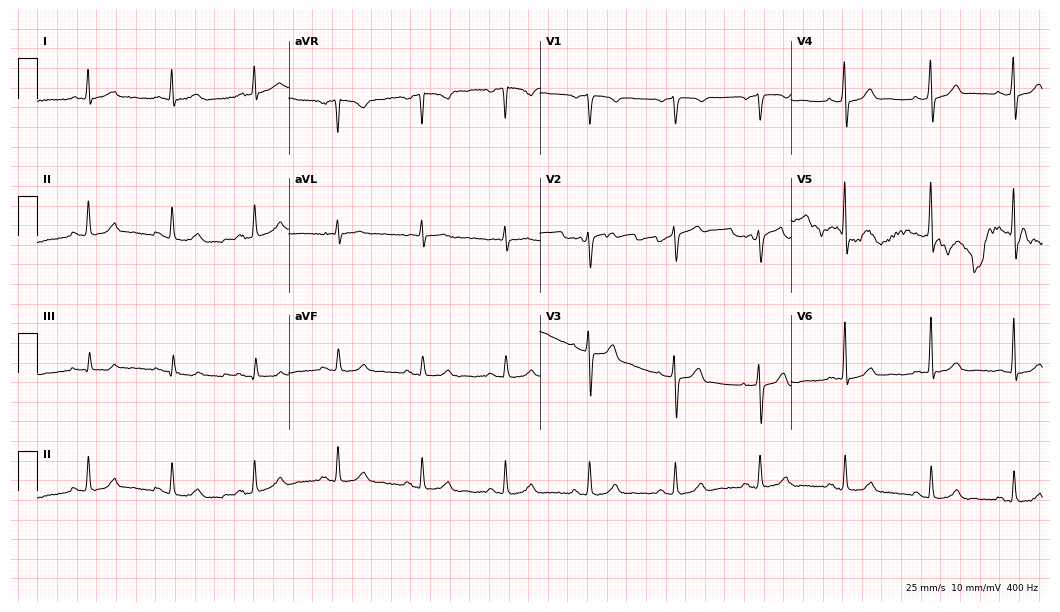
Electrocardiogram, a male patient, 59 years old. Overall reading on record: normal ECG.